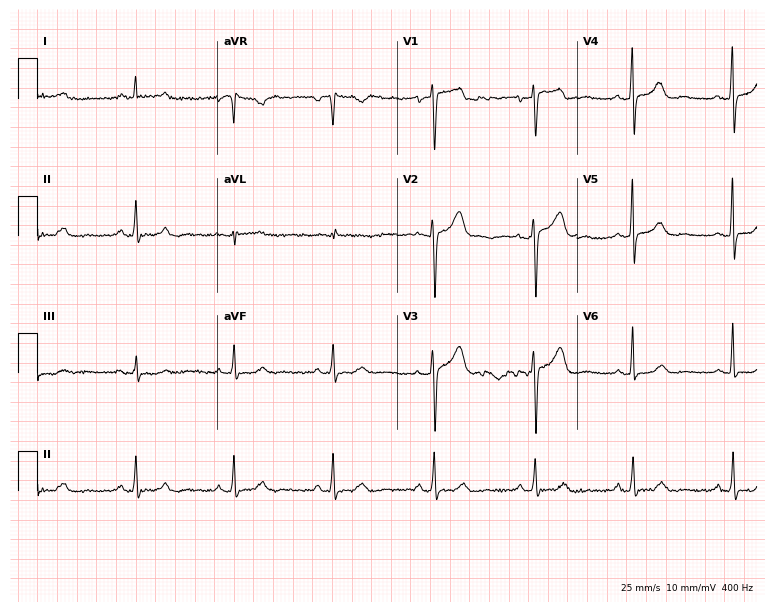
Standard 12-lead ECG recorded from a female, 61 years old (7.3-second recording at 400 Hz). None of these six findings is recorded: first-degree AV block, right bundle branch block, left bundle branch block, sinus bradycardia, atrial fibrillation, sinus tachycardia.